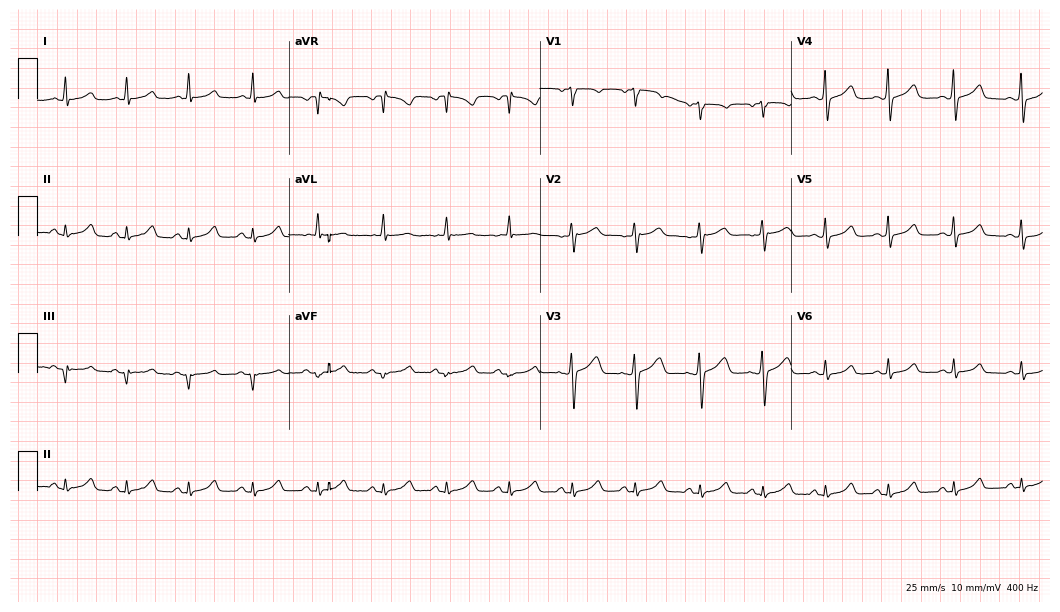
ECG (10.2-second recording at 400 Hz) — a 40-year-old female patient. Labelled as a normal ECG.